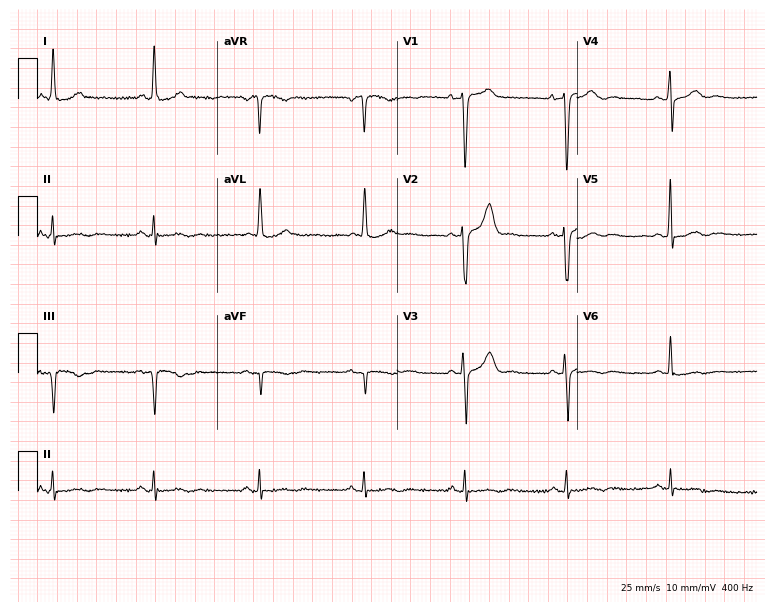
Electrocardiogram (7.3-second recording at 400 Hz), a 45-year-old male patient. Of the six screened findings (first-degree AV block, right bundle branch block, left bundle branch block, sinus bradycardia, atrial fibrillation, sinus tachycardia), none is recorded.